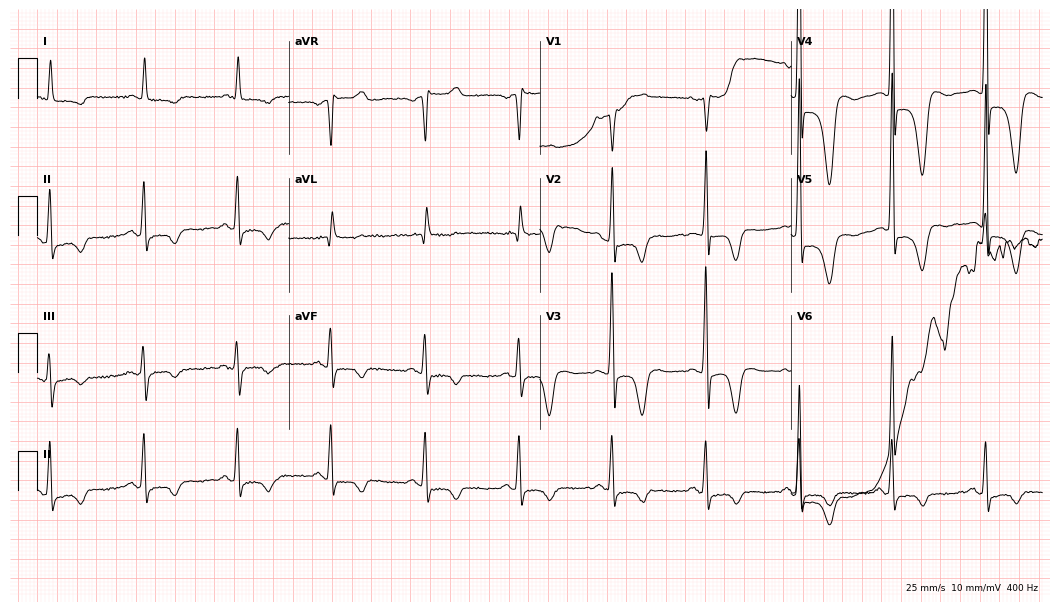
Standard 12-lead ECG recorded from a female, 70 years old (10.2-second recording at 400 Hz). None of these six findings is recorded: first-degree AV block, right bundle branch block, left bundle branch block, sinus bradycardia, atrial fibrillation, sinus tachycardia. Other findings, if any, are not listed.